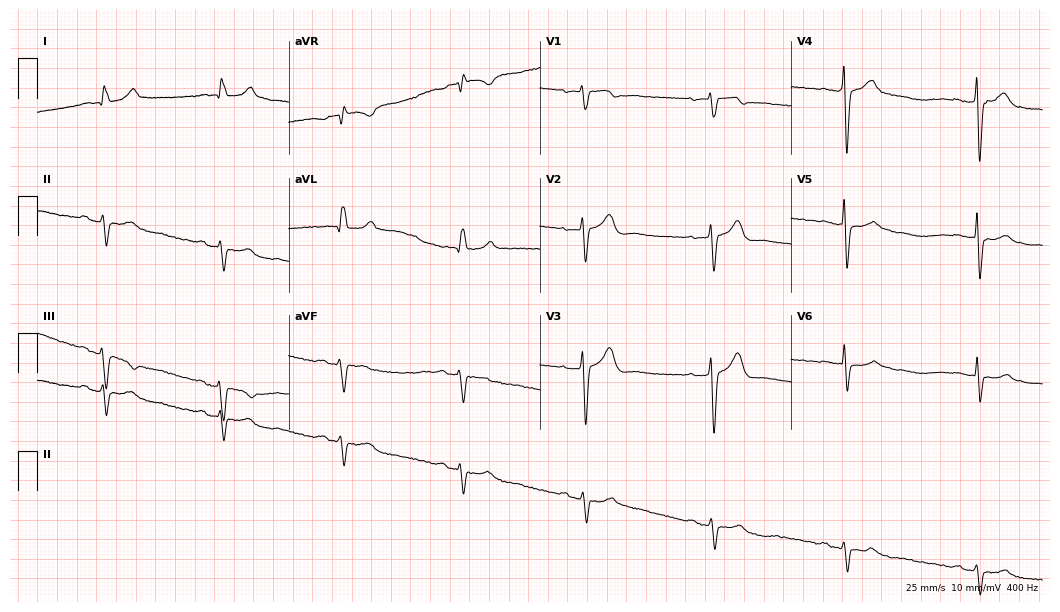
Resting 12-lead electrocardiogram. Patient: a 64-year-old man. The tracing shows first-degree AV block, sinus bradycardia (a sinus rate of 50 beats per minute or less).